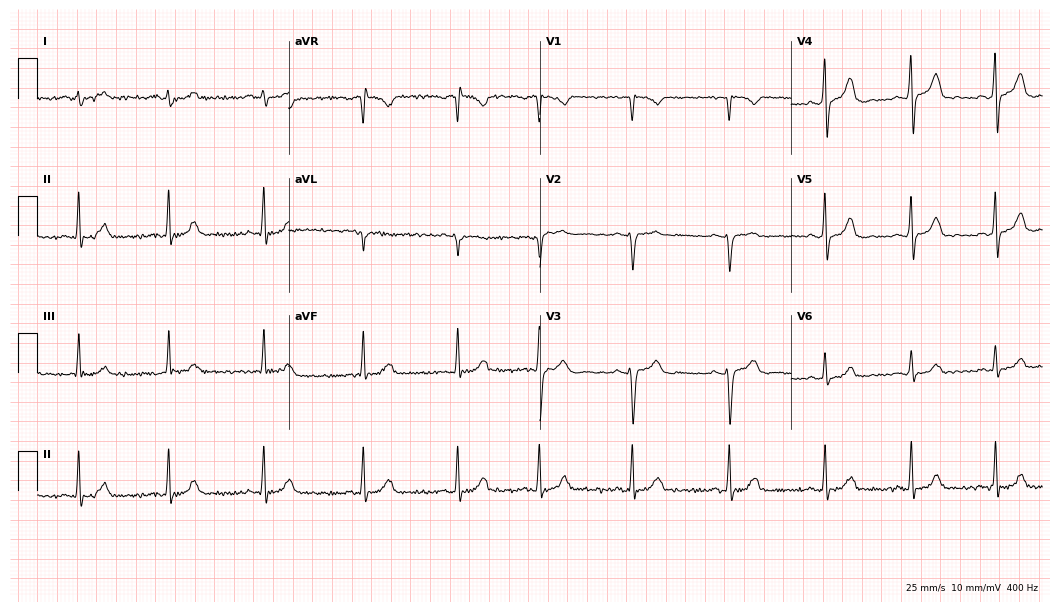
Standard 12-lead ECG recorded from a woman, 18 years old (10.2-second recording at 400 Hz). None of these six findings is recorded: first-degree AV block, right bundle branch block, left bundle branch block, sinus bradycardia, atrial fibrillation, sinus tachycardia. Other findings, if any, are not listed.